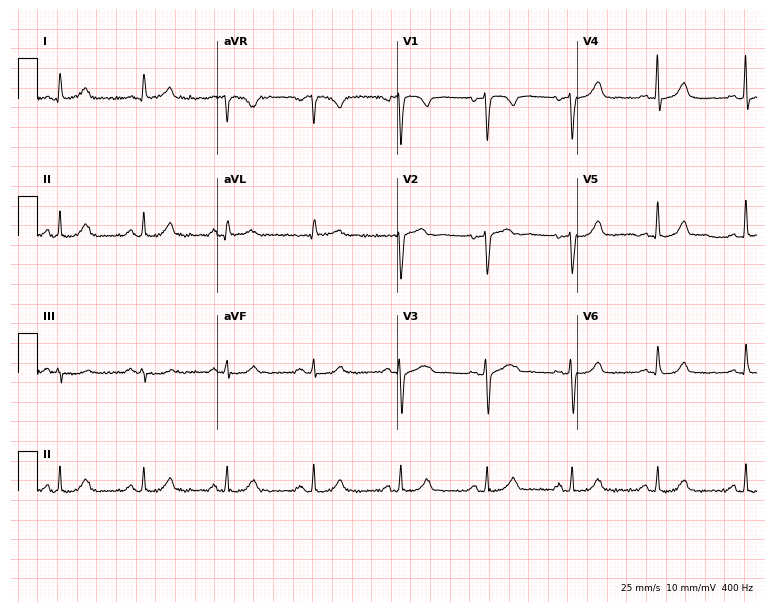
12-lead ECG (7.3-second recording at 400 Hz) from a female patient, 45 years old. Screened for six findings — first-degree AV block, right bundle branch block, left bundle branch block, sinus bradycardia, atrial fibrillation, sinus tachycardia — none is recorded. Only these six findings were labelled.